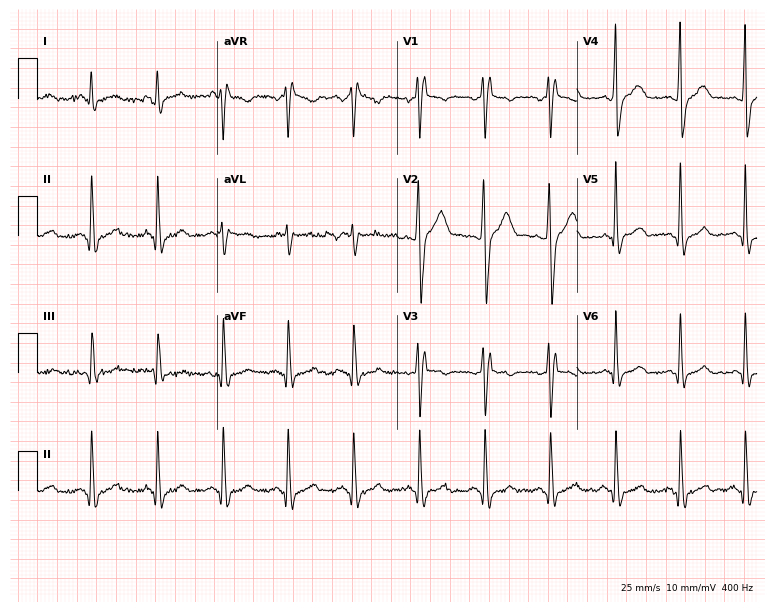
Electrocardiogram (7.3-second recording at 400 Hz), a 24-year-old male. Interpretation includes right bundle branch block.